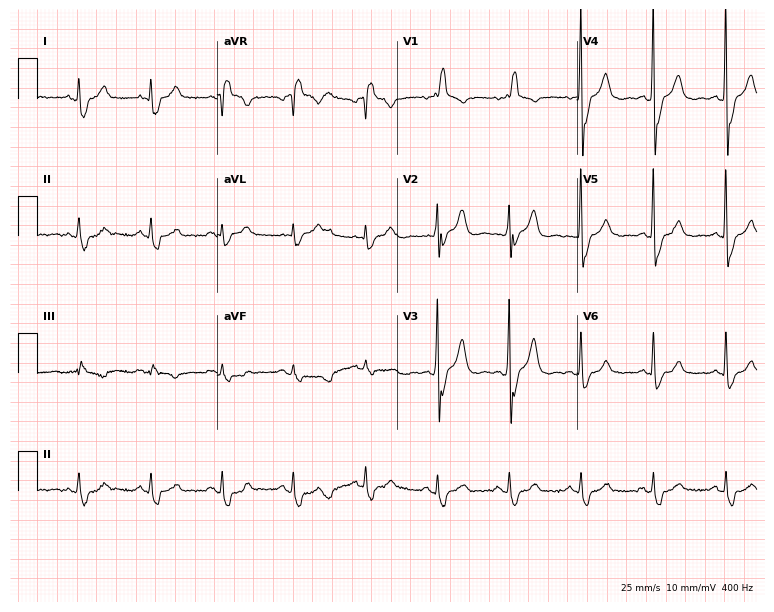
Resting 12-lead electrocardiogram. Patient: a 50-year-old man. None of these six findings is recorded: first-degree AV block, right bundle branch block, left bundle branch block, sinus bradycardia, atrial fibrillation, sinus tachycardia.